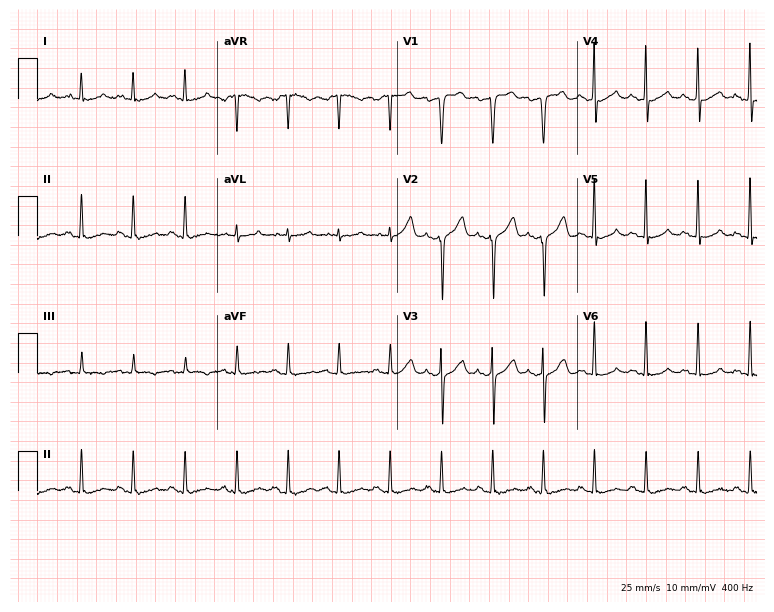
12-lead ECG from a 38-year-old male. Findings include sinus tachycardia (a sinus rate of 100 beats per minute or more).